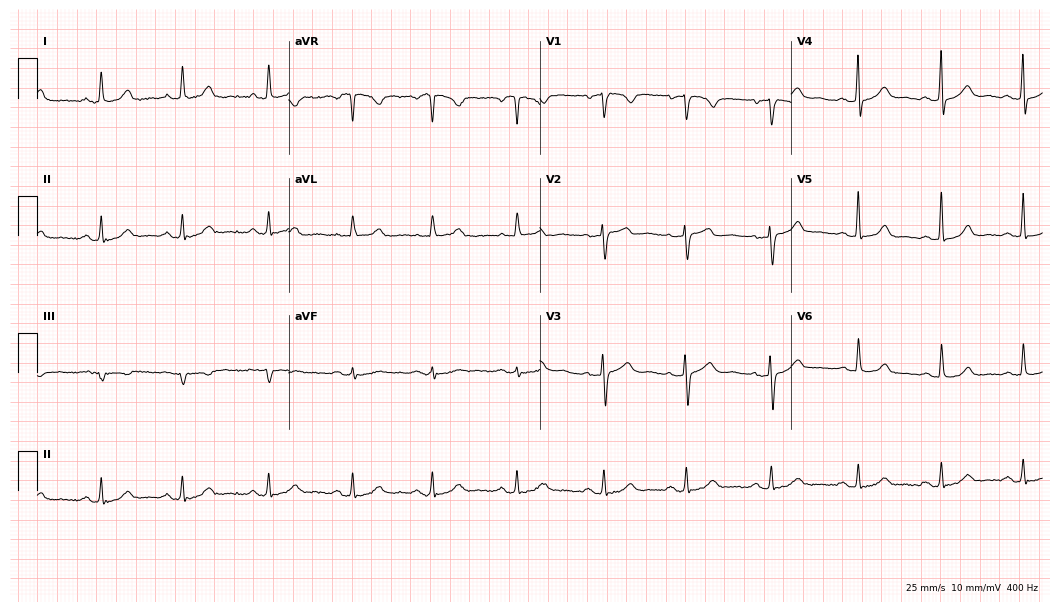
ECG — a 59-year-old female patient. Labelled as a normal ECG.